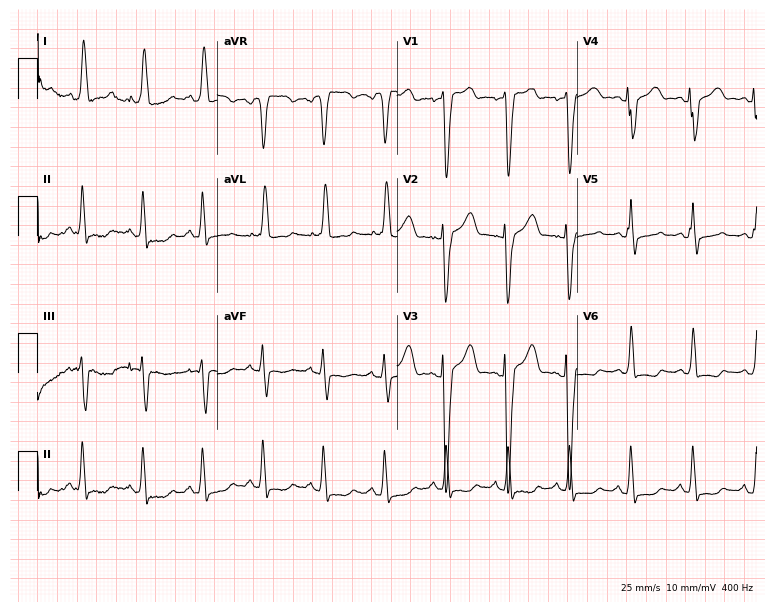
12-lead ECG from a 62-year-old woman. Findings include left bundle branch block.